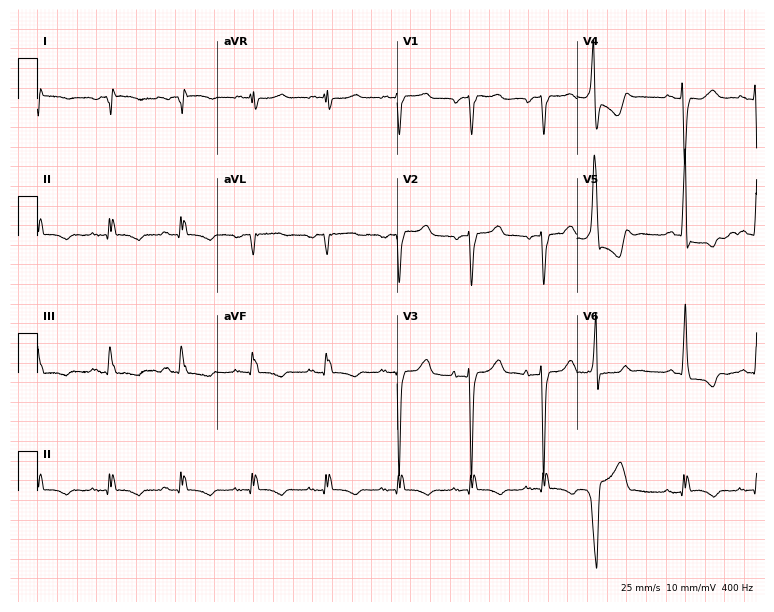
Electrocardiogram, a 79-year-old female. Of the six screened findings (first-degree AV block, right bundle branch block (RBBB), left bundle branch block (LBBB), sinus bradycardia, atrial fibrillation (AF), sinus tachycardia), none is recorded. Findings outside these six are not listed.